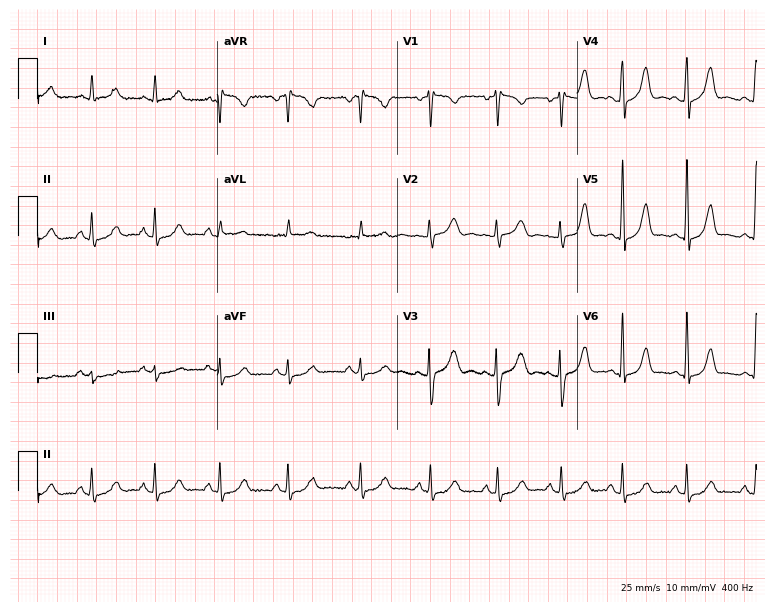
12-lead ECG from a woman, 34 years old. Labelled as a normal ECG.